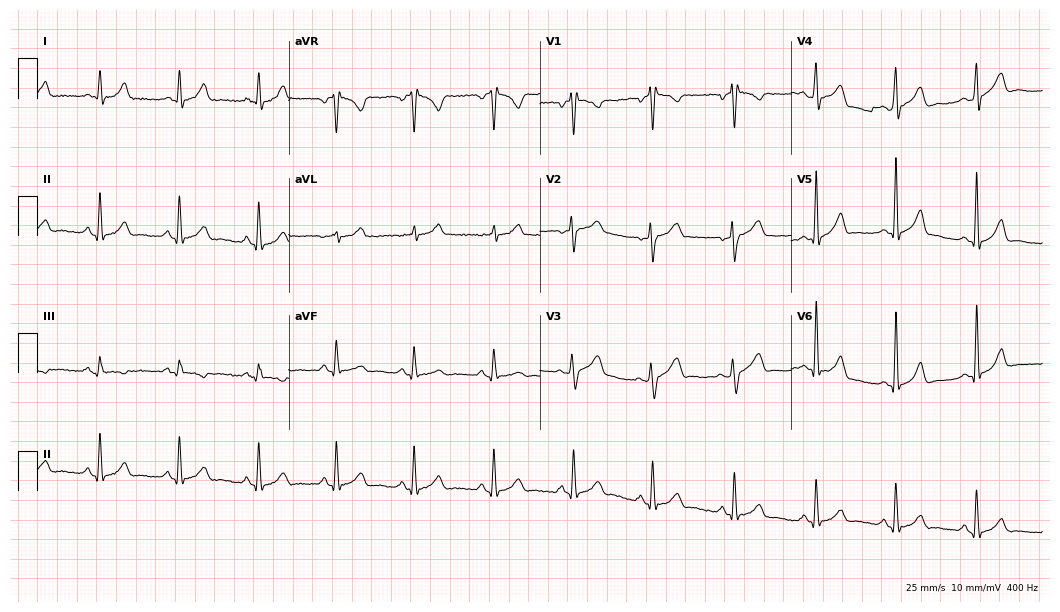
Standard 12-lead ECG recorded from a male patient, 42 years old (10.2-second recording at 400 Hz). Read as a normal ECG.